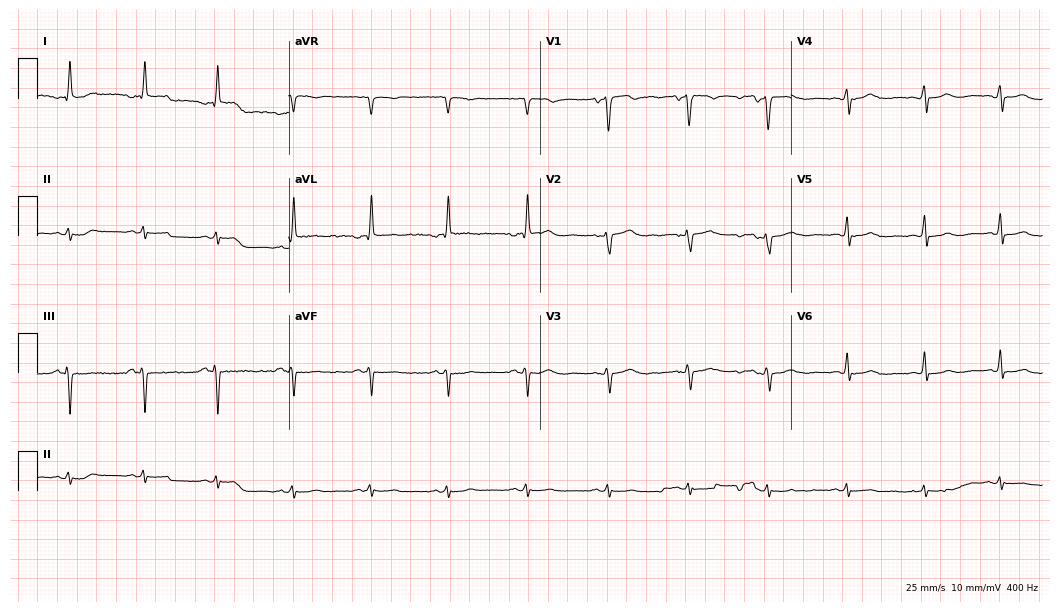
Electrocardiogram, a female patient, 44 years old. Of the six screened findings (first-degree AV block, right bundle branch block, left bundle branch block, sinus bradycardia, atrial fibrillation, sinus tachycardia), none is recorded. Findings outside these six are not listed.